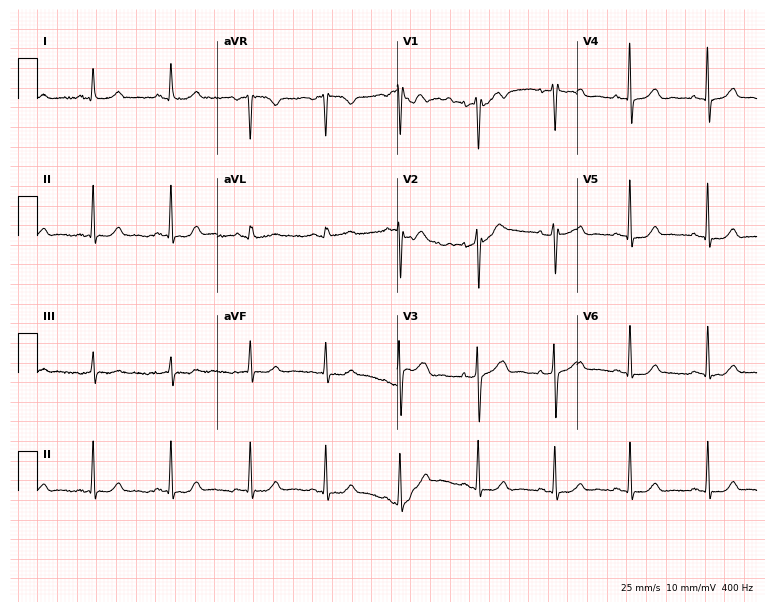
ECG (7.3-second recording at 400 Hz) — a female, 39 years old. Labelled as a normal ECG.